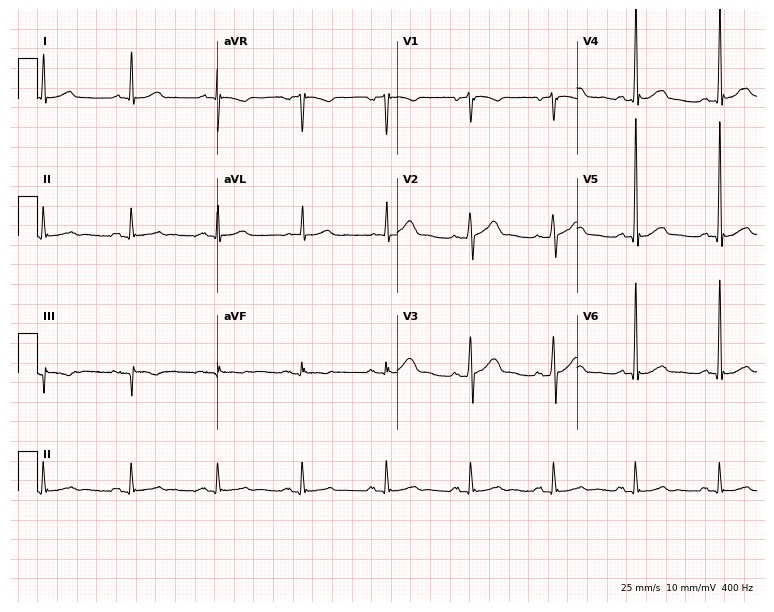
ECG (7.3-second recording at 400 Hz) — a man, 47 years old. Screened for six findings — first-degree AV block, right bundle branch block, left bundle branch block, sinus bradycardia, atrial fibrillation, sinus tachycardia — none is recorded.